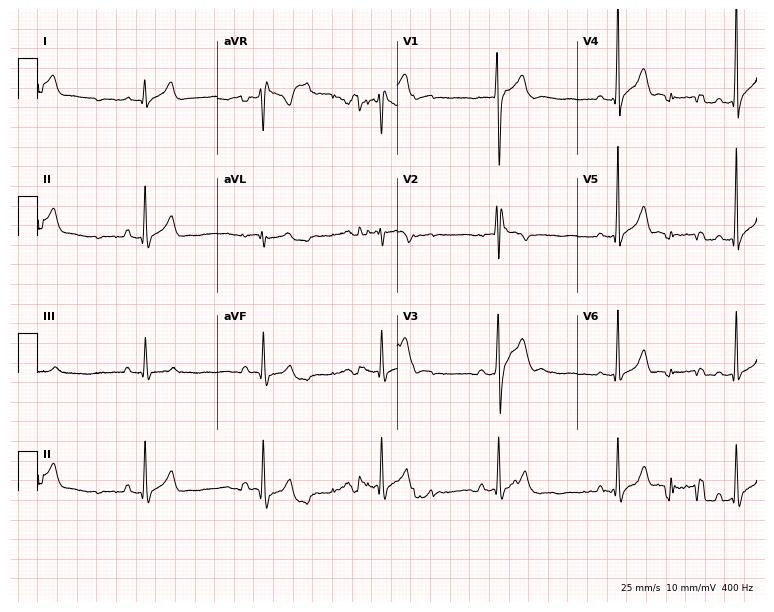
Standard 12-lead ECG recorded from an 18-year-old male patient (7.3-second recording at 400 Hz). Read as a normal ECG.